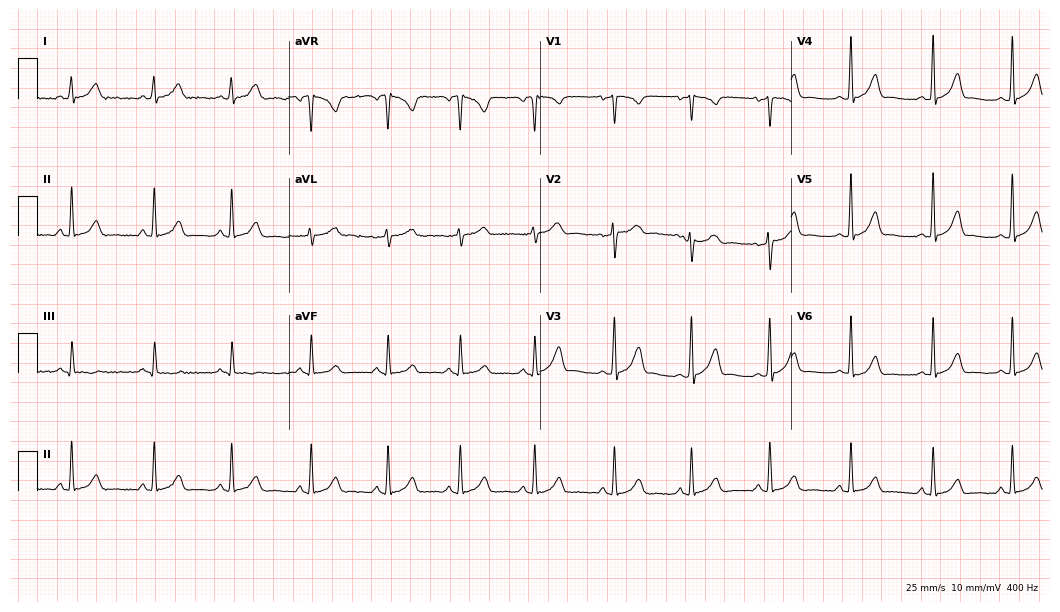
Standard 12-lead ECG recorded from a female patient, 33 years old. None of these six findings is recorded: first-degree AV block, right bundle branch block, left bundle branch block, sinus bradycardia, atrial fibrillation, sinus tachycardia.